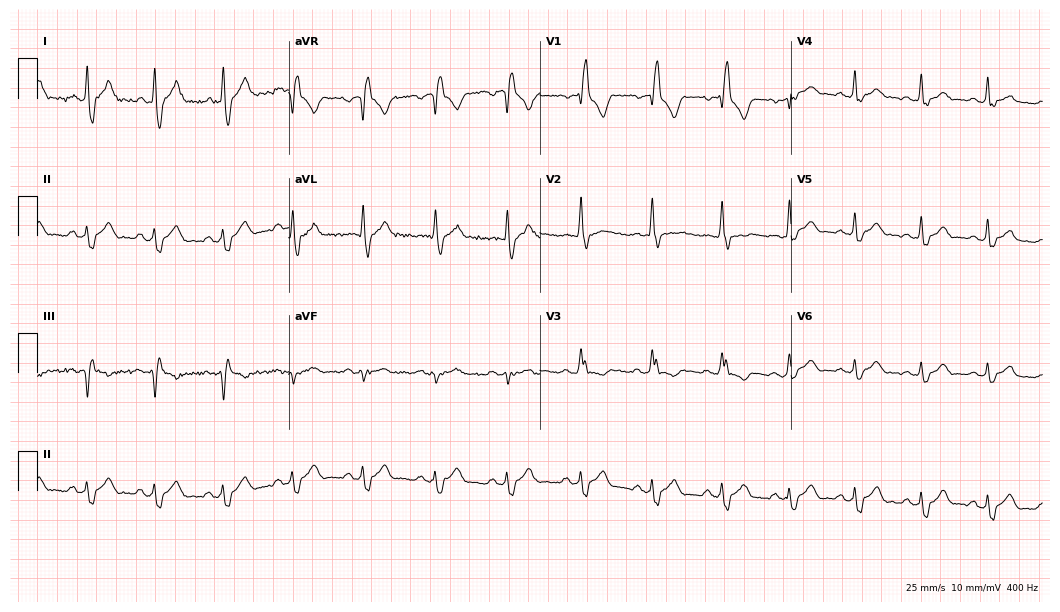
Resting 12-lead electrocardiogram. Patient: a 30-year-old male. The tracing shows right bundle branch block.